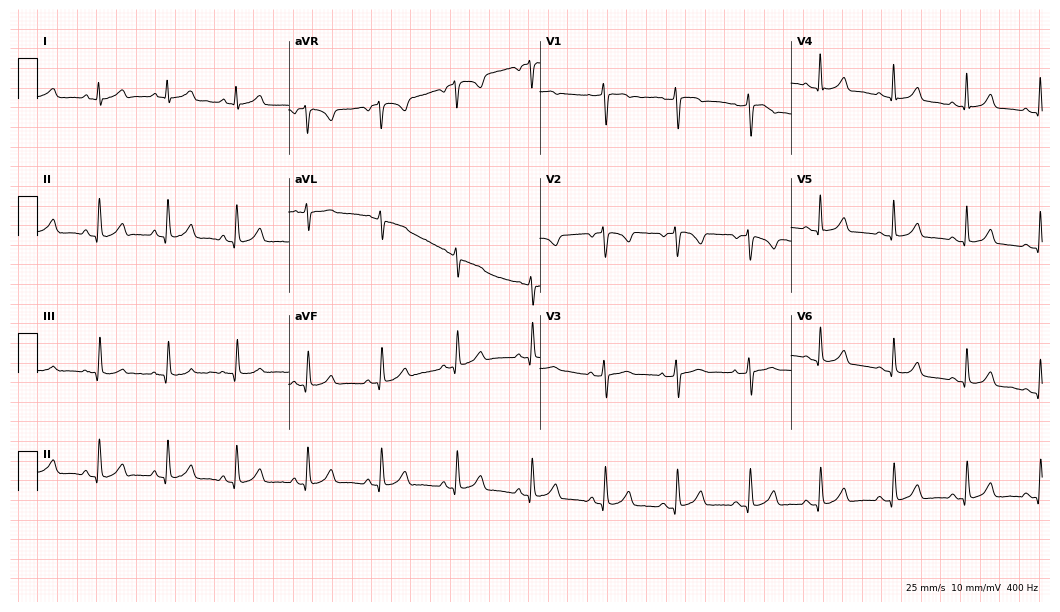
Standard 12-lead ECG recorded from a 48-year-old woman. Read as a normal ECG.